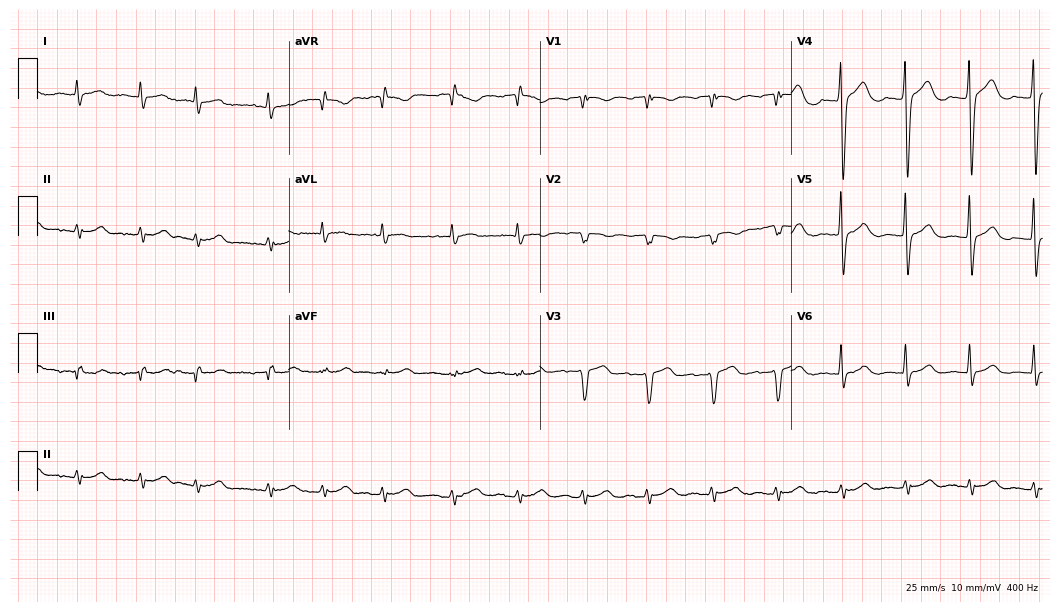
12-lead ECG from a 75-year-old male patient (10.2-second recording at 400 Hz). No first-degree AV block, right bundle branch block, left bundle branch block, sinus bradycardia, atrial fibrillation or sinus tachycardia recorded for this tracing.